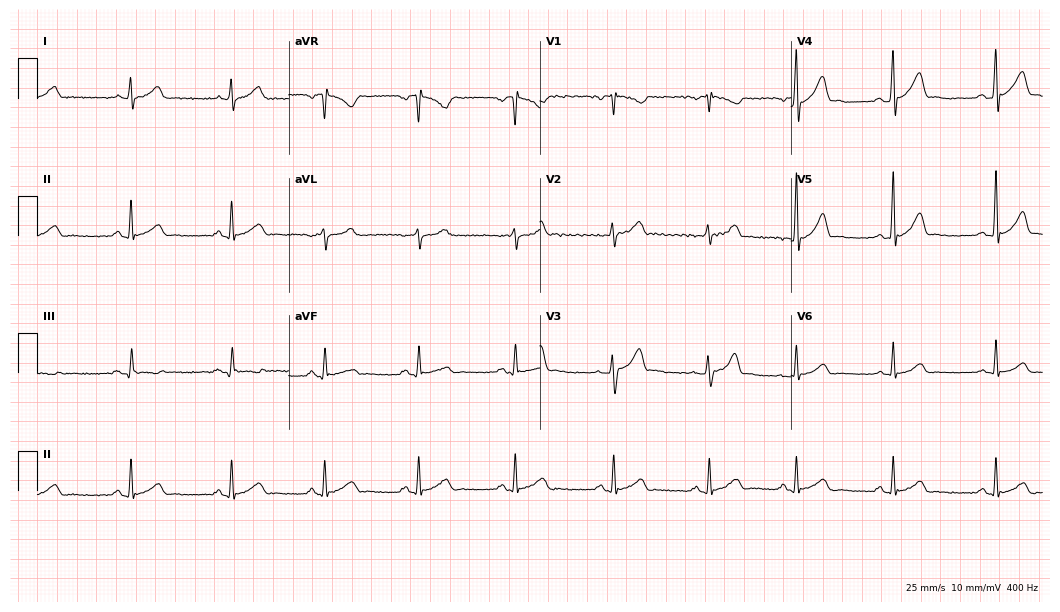
Electrocardiogram, a 20-year-old male patient. Overall reading on record: normal ECG.